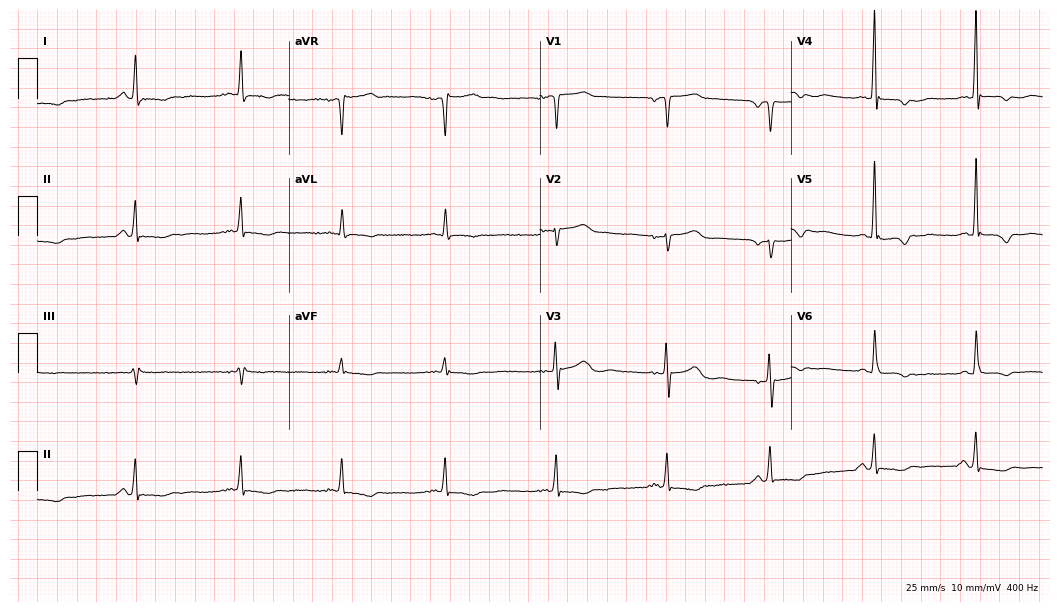
Electrocardiogram, a female, 80 years old. Of the six screened findings (first-degree AV block, right bundle branch block (RBBB), left bundle branch block (LBBB), sinus bradycardia, atrial fibrillation (AF), sinus tachycardia), none is recorded.